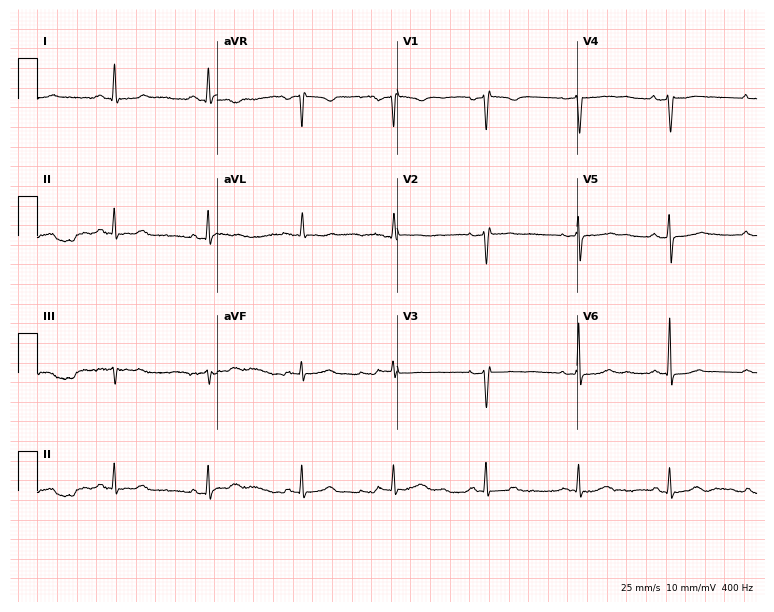
12-lead ECG from a woman, 47 years old. Screened for six findings — first-degree AV block, right bundle branch block, left bundle branch block, sinus bradycardia, atrial fibrillation, sinus tachycardia — none is recorded.